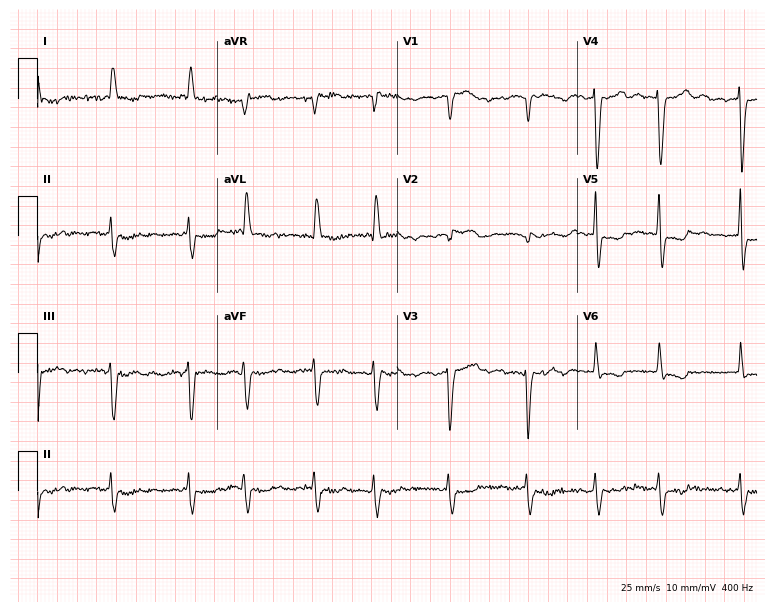
Resting 12-lead electrocardiogram (7.3-second recording at 400 Hz). Patient: an 84-year-old woman. None of these six findings is recorded: first-degree AV block, right bundle branch block (RBBB), left bundle branch block (LBBB), sinus bradycardia, atrial fibrillation (AF), sinus tachycardia. Only these six findings were labelled.